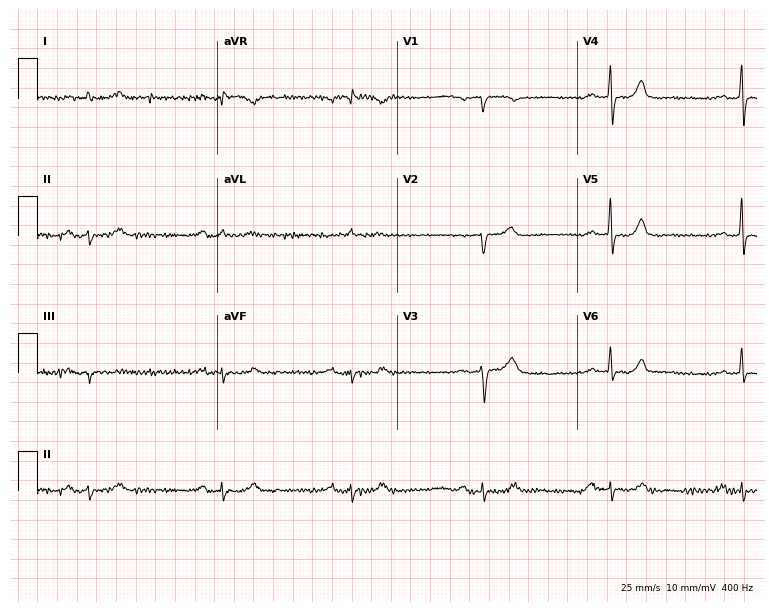
Electrocardiogram (7.3-second recording at 400 Hz), a male patient, 71 years old. Interpretation includes first-degree AV block, sinus bradycardia (a sinus rate of 50 beats per minute or less).